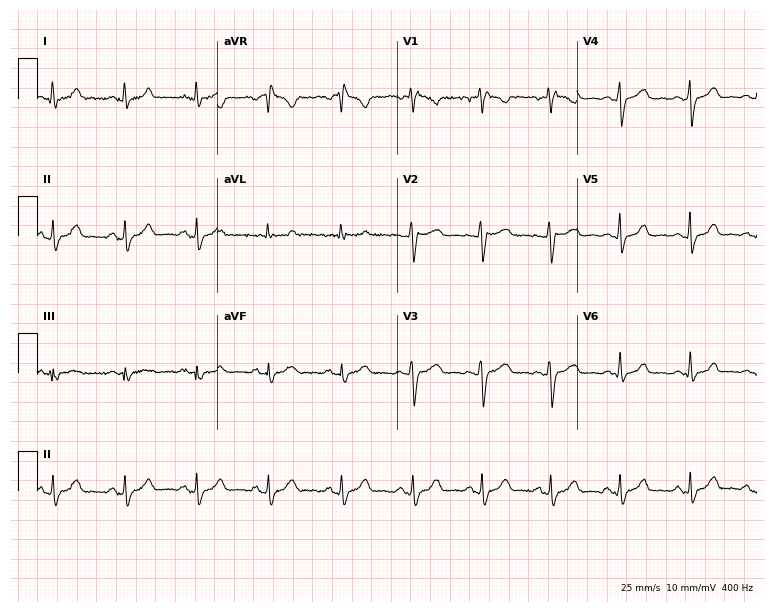
12-lead ECG (7.3-second recording at 400 Hz) from a 44-year-old female. Screened for six findings — first-degree AV block, right bundle branch block, left bundle branch block, sinus bradycardia, atrial fibrillation, sinus tachycardia — none is recorded. Findings outside these six are not listed.